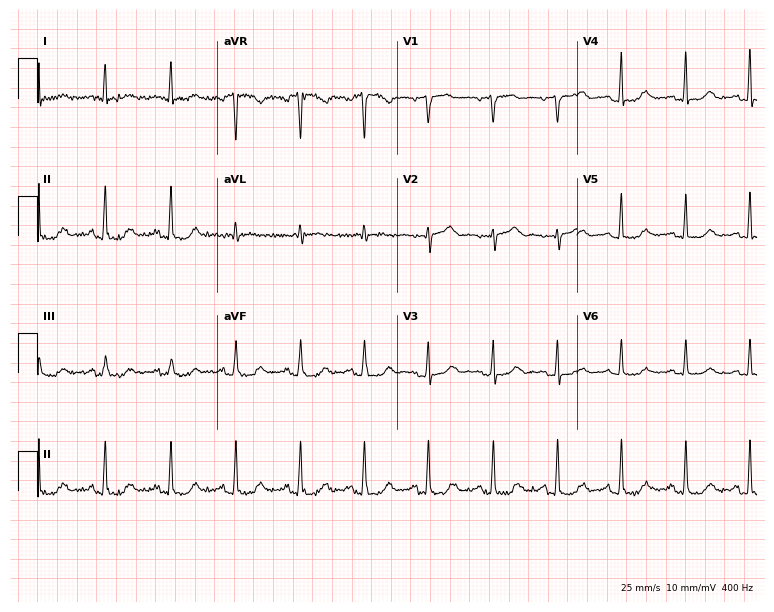
12-lead ECG from a woman, 64 years old. Recorded interpretation: within normal limits.